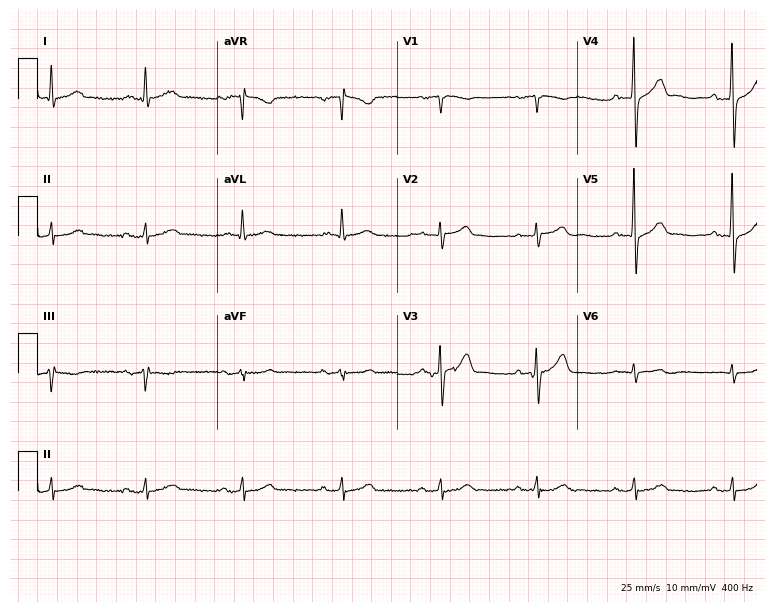
12-lead ECG from an 81-year-old male patient. Labelled as a normal ECG.